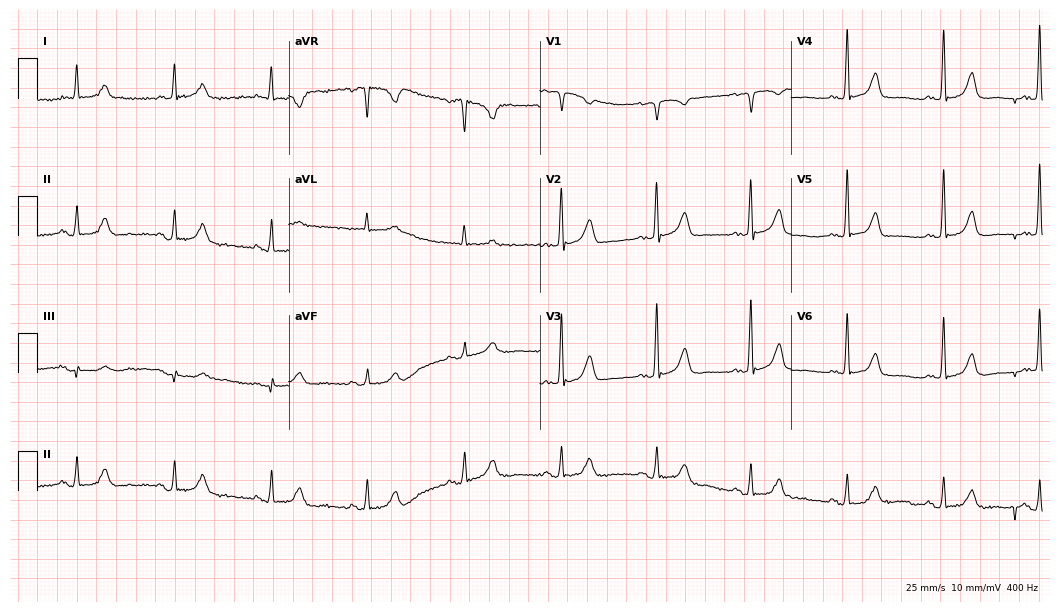
Standard 12-lead ECG recorded from a woman, 68 years old. Read as a normal ECG.